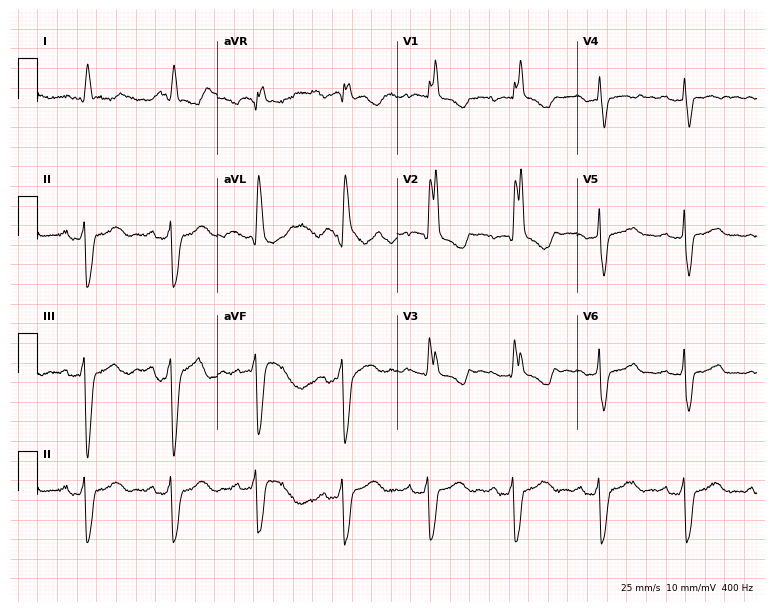
ECG — a 73-year-old woman. Findings include right bundle branch block.